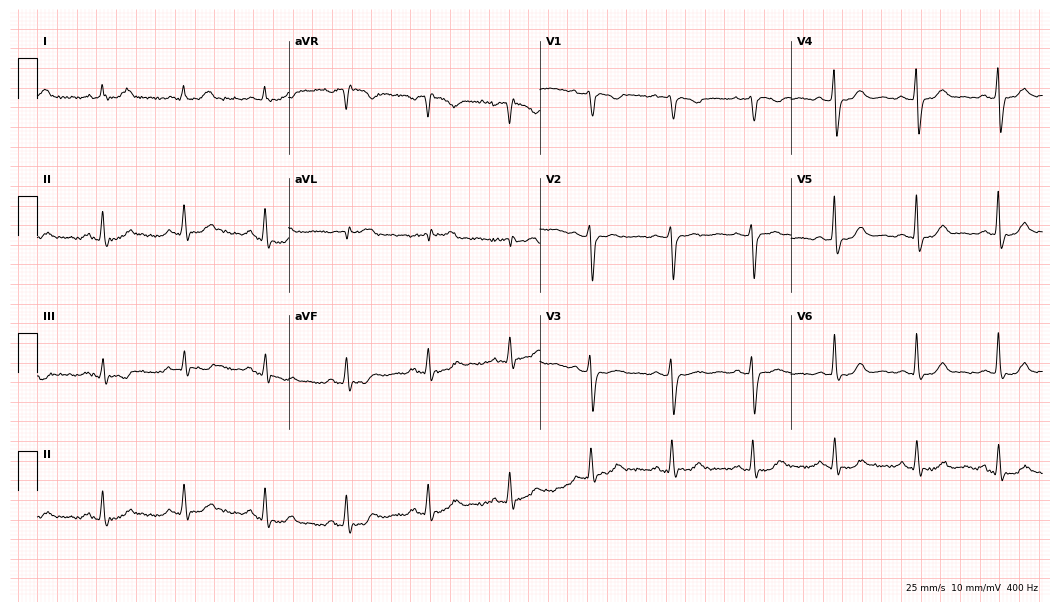
12-lead ECG from a 63-year-old female patient (10.2-second recording at 400 Hz). No first-degree AV block, right bundle branch block, left bundle branch block, sinus bradycardia, atrial fibrillation or sinus tachycardia recorded for this tracing. Other findings, if any, are not listed.